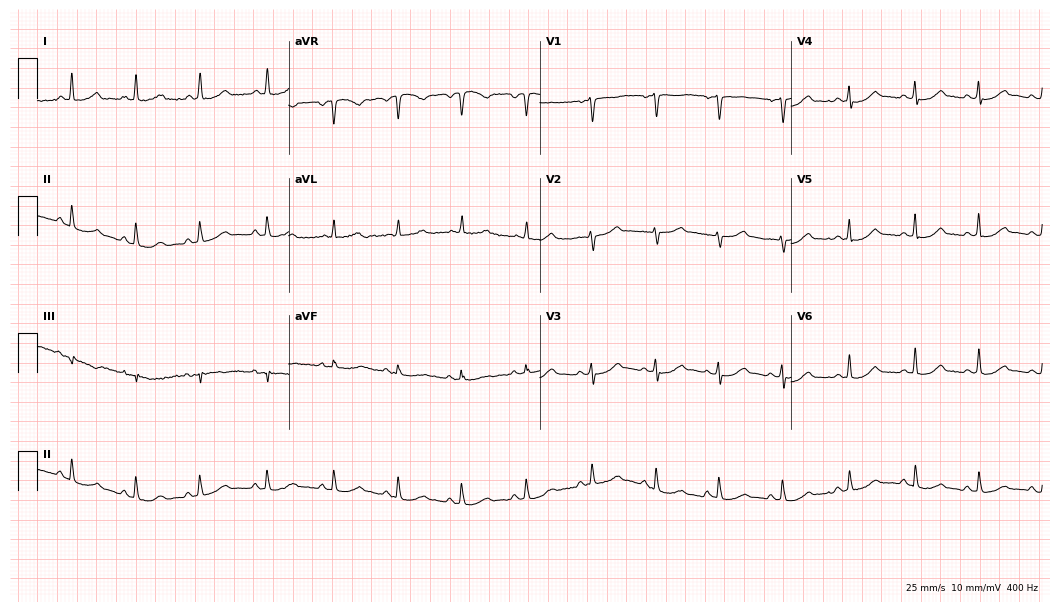
Electrocardiogram (10.2-second recording at 400 Hz), a woman, 52 years old. Overall reading on record: normal ECG.